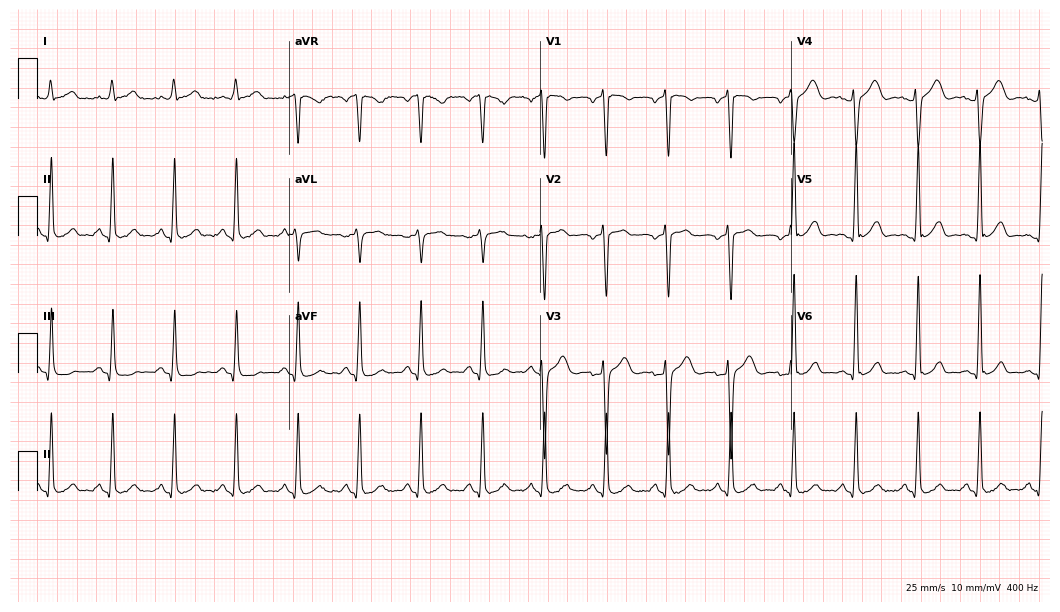
12-lead ECG from a man, 42 years old. Screened for six findings — first-degree AV block, right bundle branch block (RBBB), left bundle branch block (LBBB), sinus bradycardia, atrial fibrillation (AF), sinus tachycardia — none is recorded. Only these six findings were labelled.